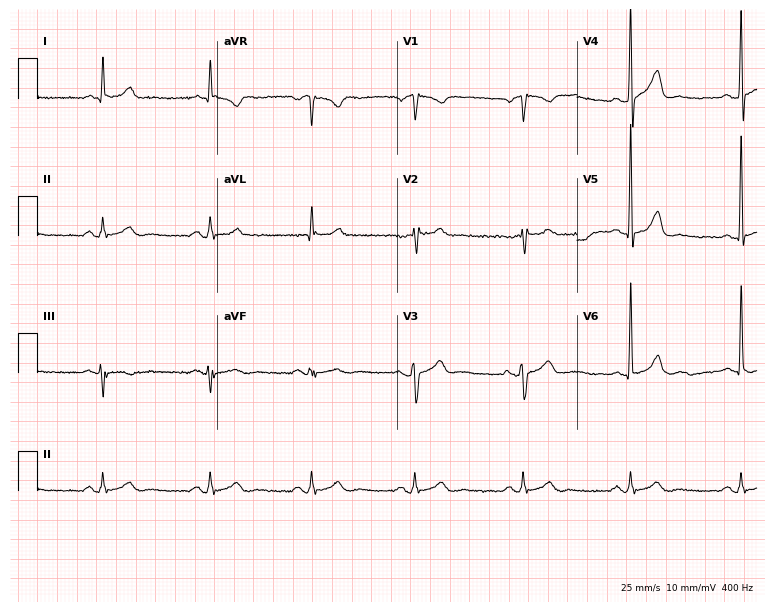
ECG — a male patient, 47 years old. Labelled as a normal ECG.